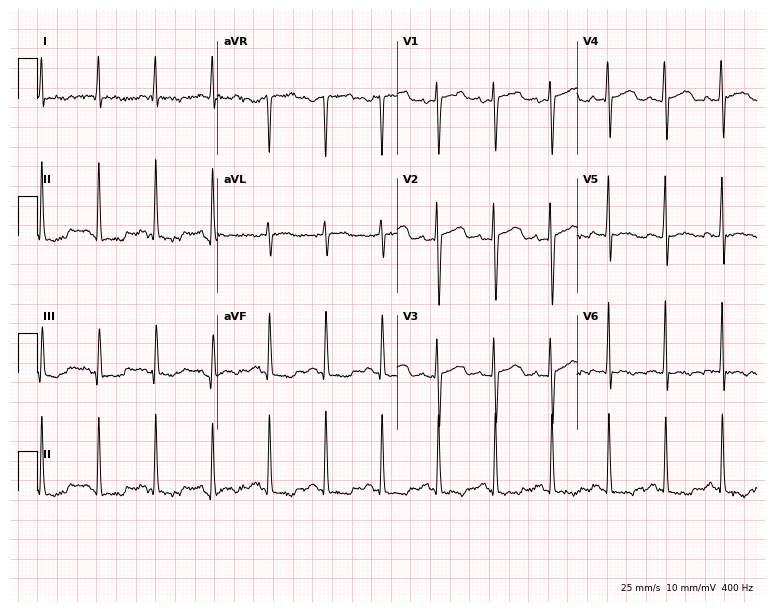
Electrocardiogram, a female, 62 years old. Of the six screened findings (first-degree AV block, right bundle branch block (RBBB), left bundle branch block (LBBB), sinus bradycardia, atrial fibrillation (AF), sinus tachycardia), none is recorded.